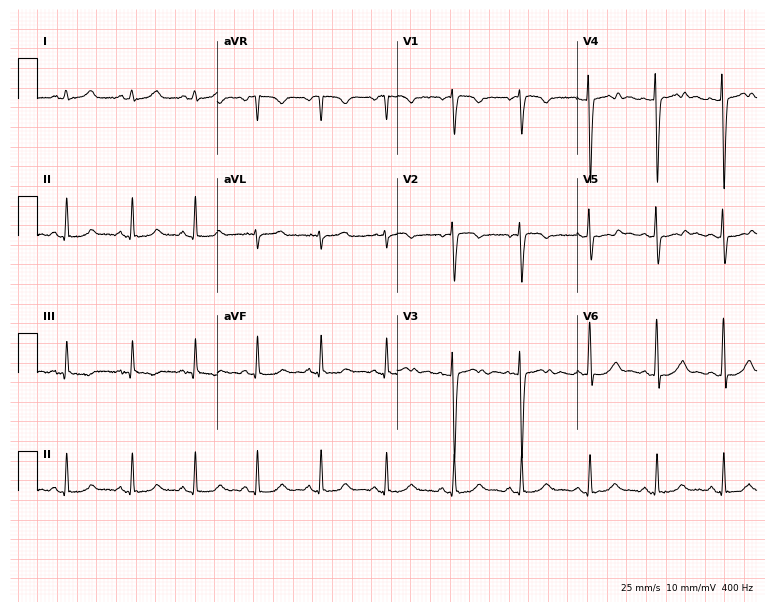
12-lead ECG from a 30-year-old female patient. No first-degree AV block, right bundle branch block, left bundle branch block, sinus bradycardia, atrial fibrillation or sinus tachycardia recorded for this tracing. Findings outside these six are not listed.